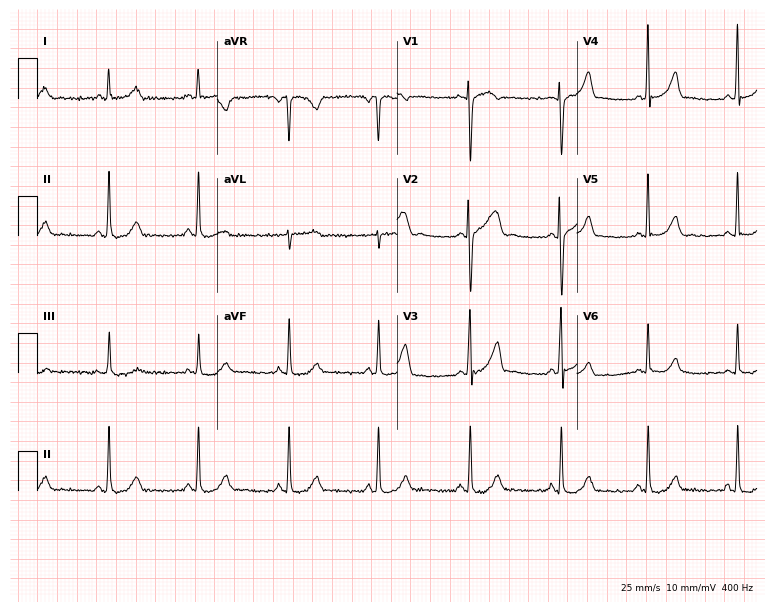
Electrocardiogram, a female, 29 years old. Of the six screened findings (first-degree AV block, right bundle branch block (RBBB), left bundle branch block (LBBB), sinus bradycardia, atrial fibrillation (AF), sinus tachycardia), none is recorded.